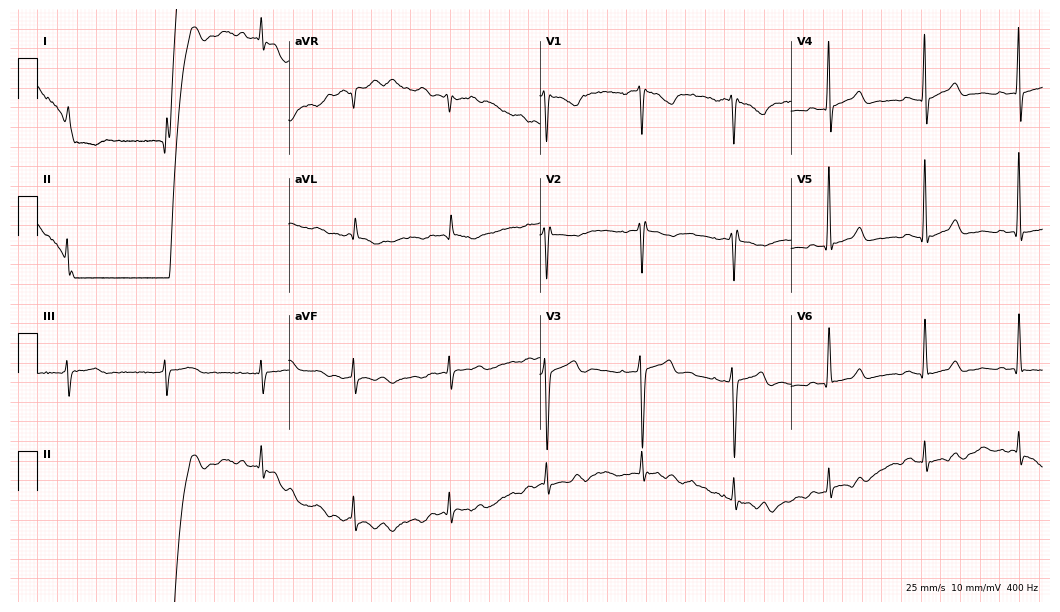
ECG — a male patient, 34 years old. Screened for six findings — first-degree AV block, right bundle branch block (RBBB), left bundle branch block (LBBB), sinus bradycardia, atrial fibrillation (AF), sinus tachycardia — none is recorded. Only these six findings were labelled.